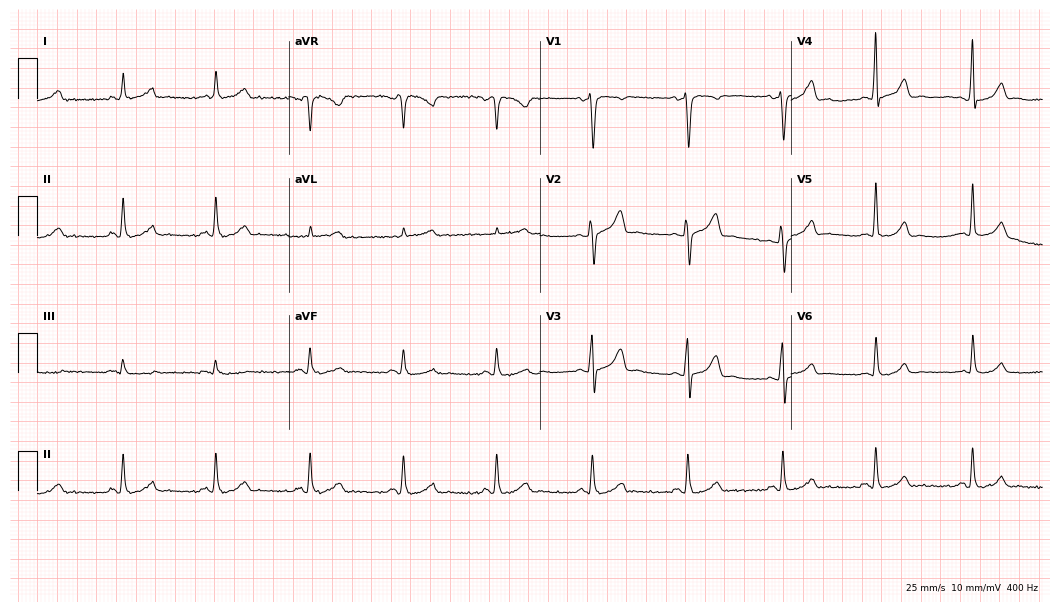
Resting 12-lead electrocardiogram. Patient: a male, 57 years old. Read as a normal ECG.